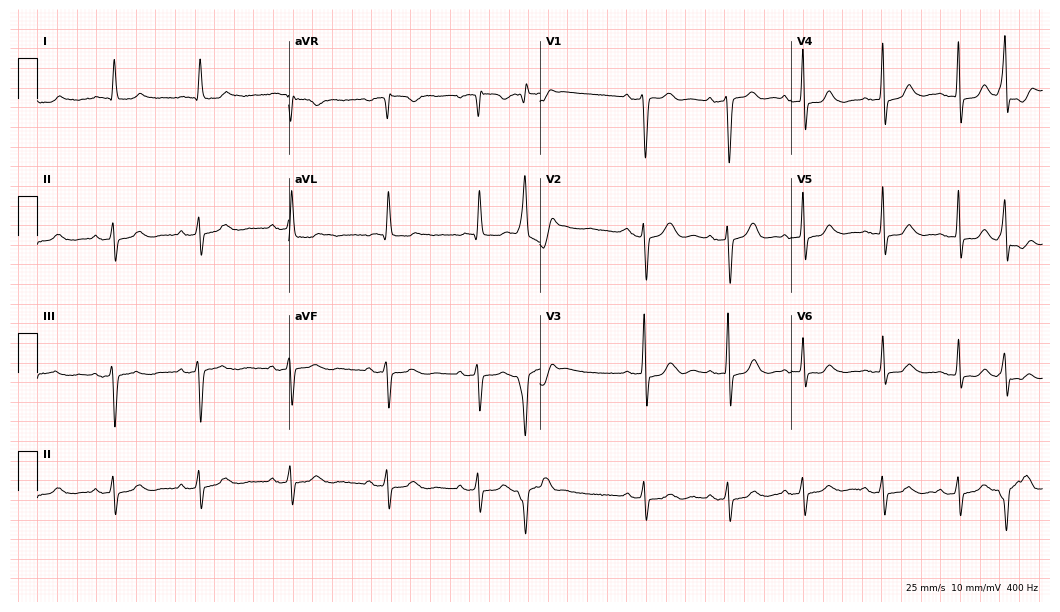
12-lead ECG from a 79-year-old man. Screened for six findings — first-degree AV block, right bundle branch block, left bundle branch block, sinus bradycardia, atrial fibrillation, sinus tachycardia — none is recorded.